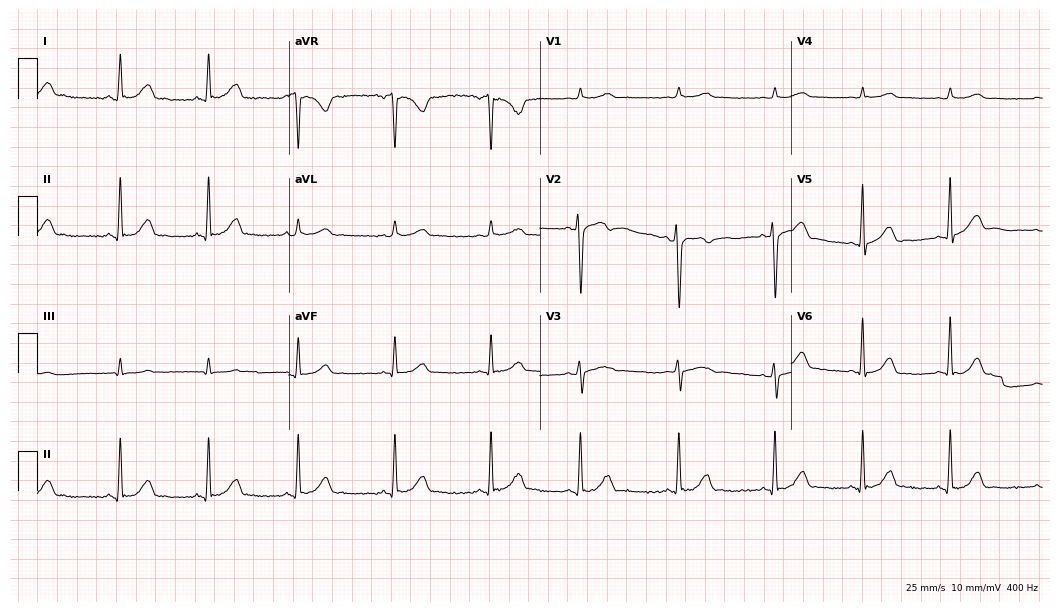
Electrocardiogram, a 24-year-old female. Overall reading on record: normal ECG.